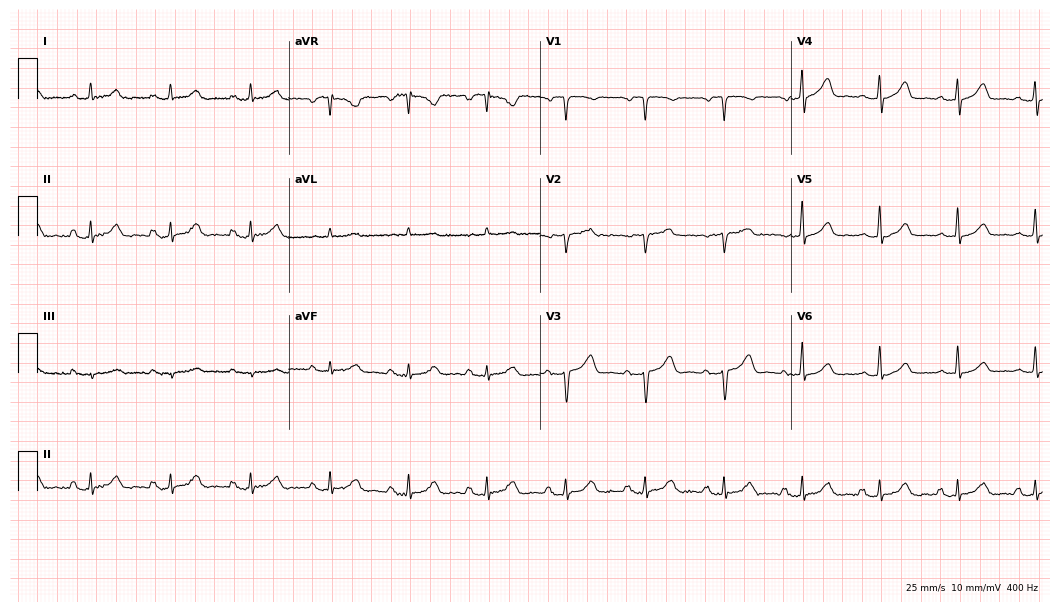
Resting 12-lead electrocardiogram. Patient: a woman, 79 years old. None of these six findings is recorded: first-degree AV block, right bundle branch block, left bundle branch block, sinus bradycardia, atrial fibrillation, sinus tachycardia. Other findings, if any, are not listed.